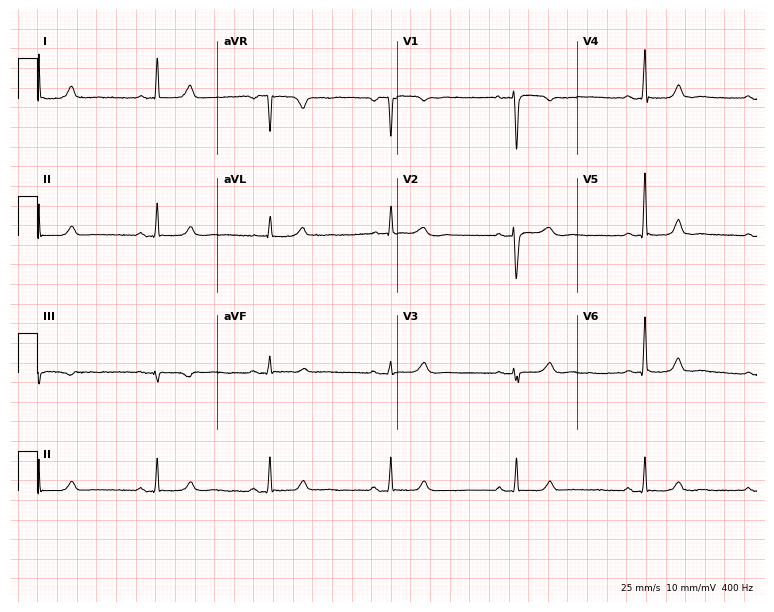
Electrocardiogram, a female patient, 46 years old. Of the six screened findings (first-degree AV block, right bundle branch block (RBBB), left bundle branch block (LBBB), sinus bradycardia, atrial fibrillation (AF), sinus tachycardia), none is recorded. Findings outside these six are not listed.